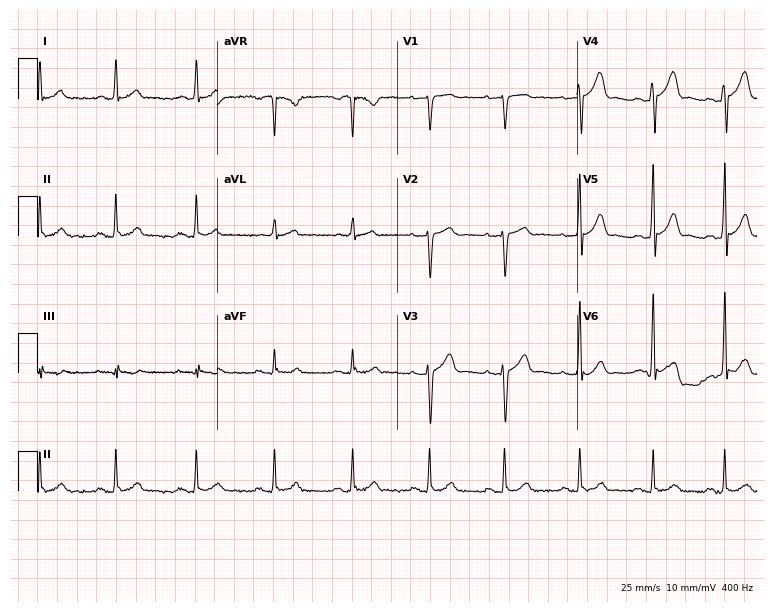
ECG (7.3-second recording at 400 Hz) — a male, 28 years old. Labelled as a normal ECG.